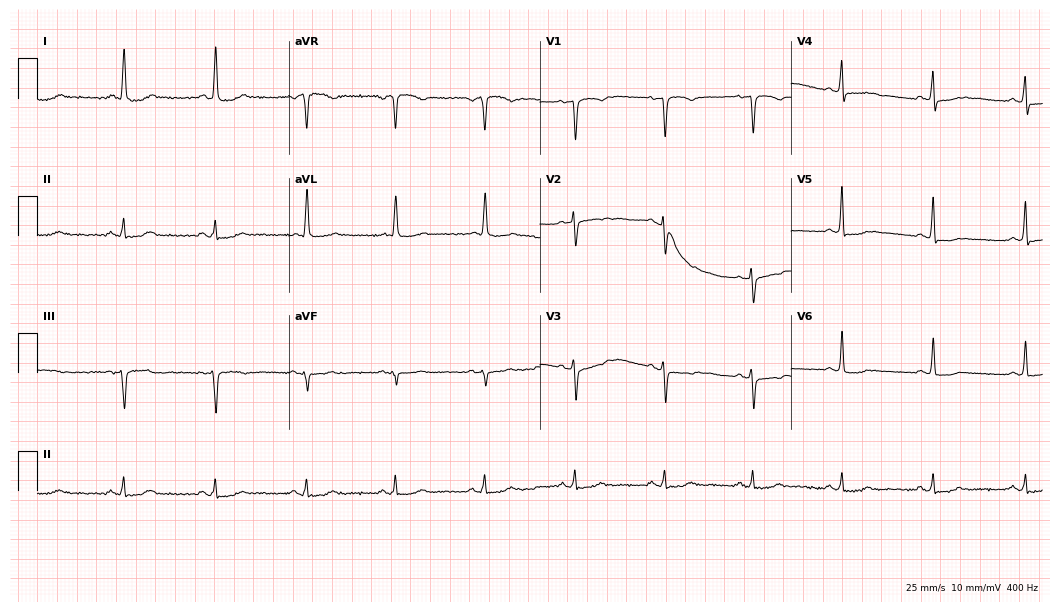
ECG — a female, 67 years old. Screened for six findings — first-degree AV block, right bundle branch block (RBBB), left bundle branch block (LBBB), sinus bradycardia, atrial fibrillation (AF), sinus tachycardia — none is recorded. Findings outside these six are not listed.